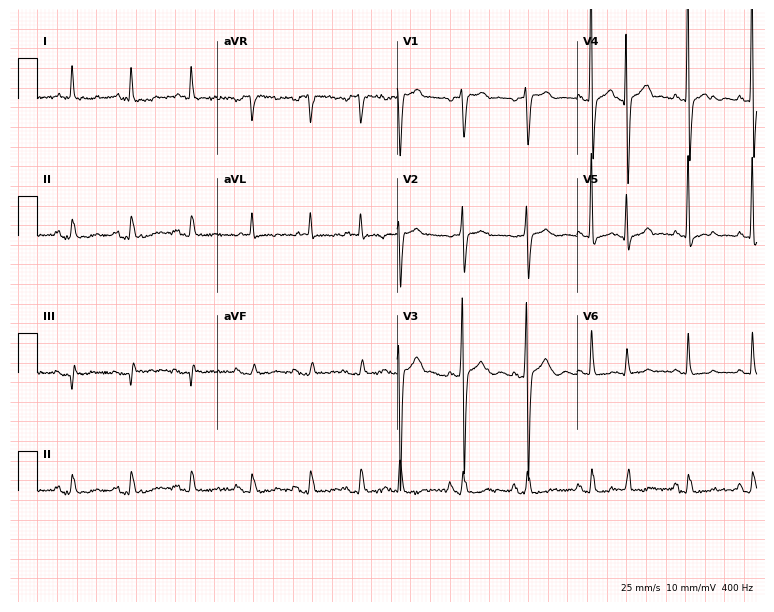
ECG (7.3-second recording at 400 Hz) — a woman, 82 years old. Findings include sinus tachycardia (a sinus rate of 100 beats per minute or more).